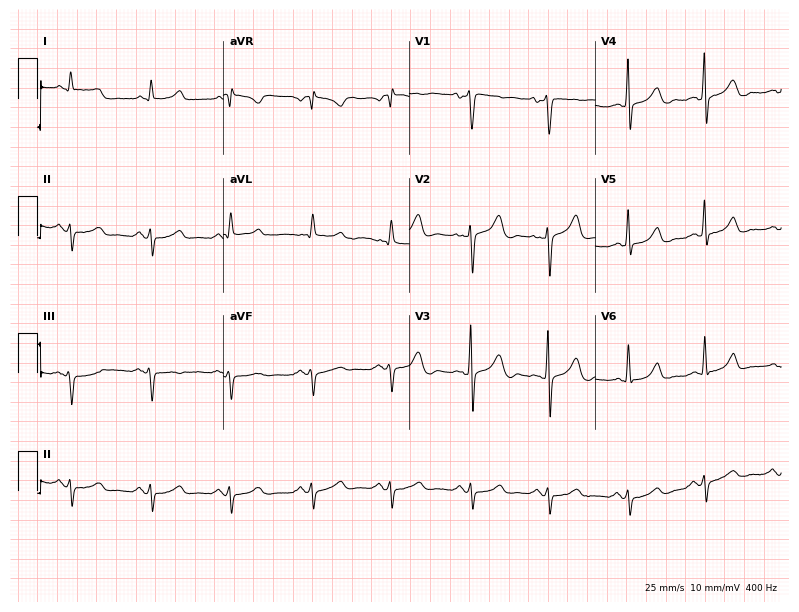
ECG (7.6-second recording at 400 Hz) — a male patient, 62 years old. Screened for six findings — first-degree AV block, right bundle branch block, left bundle branch block, sinus bradycardia, atrial fibrillation, sinus tachycardia — none is recorded. Other findings, if any, are not listed.